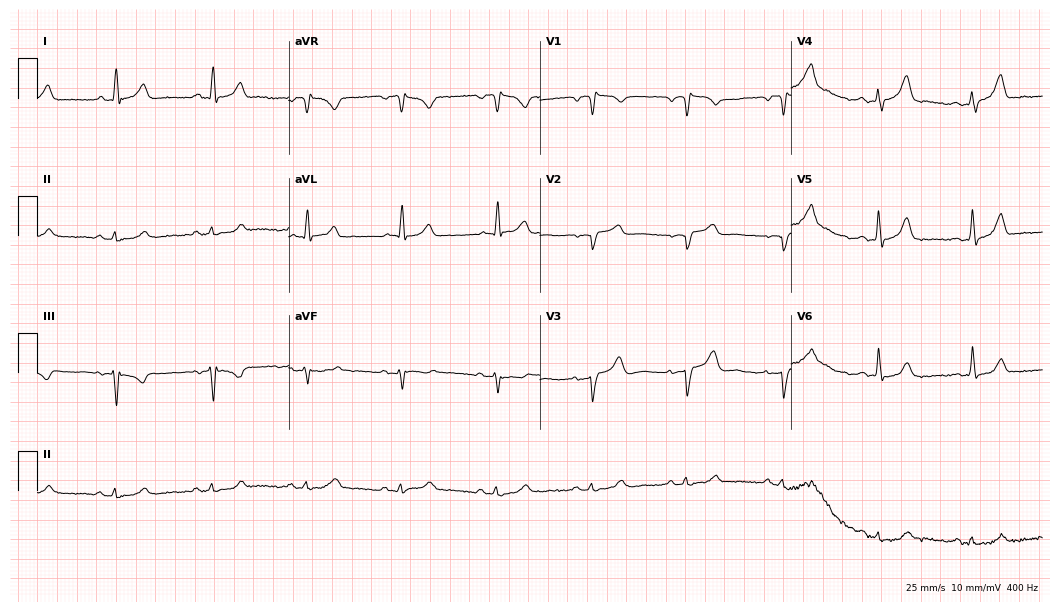
12-lead ECG from an 85-year-old woman. No first-degree AV block, right bundle branch block, left bundle branch block, sinus bradycardia, atrial fibrillation or sinus tachycardia recorded for this tracing. Only these six findings were labelled.